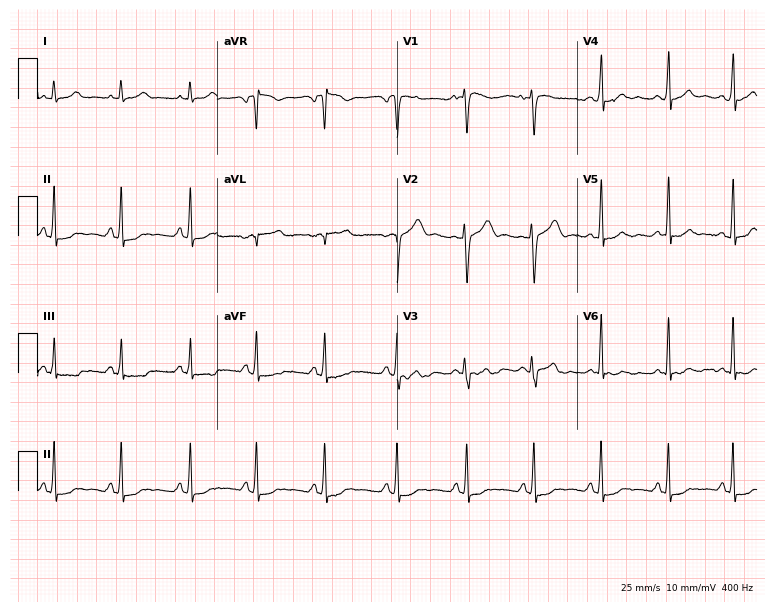
Resting 12-lead electrocardiogram. Patient: an 18-year-old woman. None of these six findings is recorded: first-degree AV block, right bundle branch block, left bundle branch block, sinus bradycardia, atrial fibrillation, sinus tachycardia.